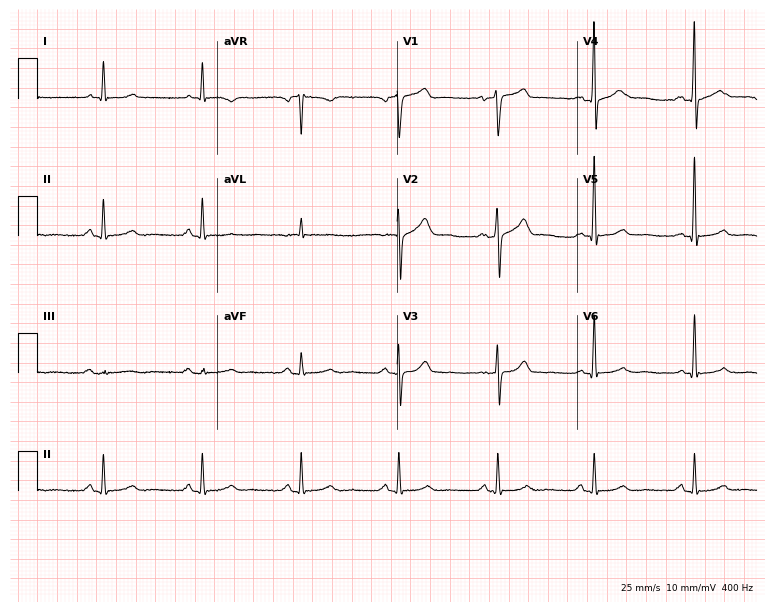
Electrocardiogram, a male, 58 years old. Overall reading on record: normal ECG.